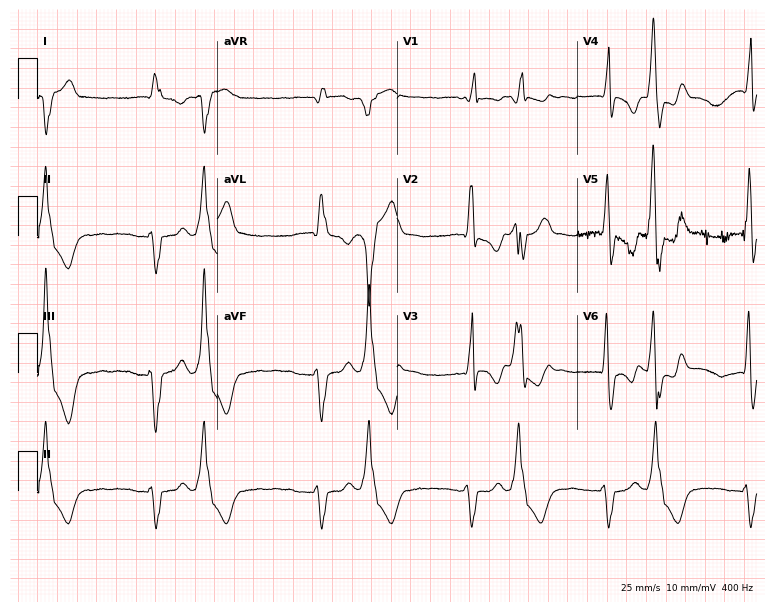
12-lead ECG from a male patient, 70 years old (7.3-second recording at 400 Hz). Shows left bundle branch block (LBBB).